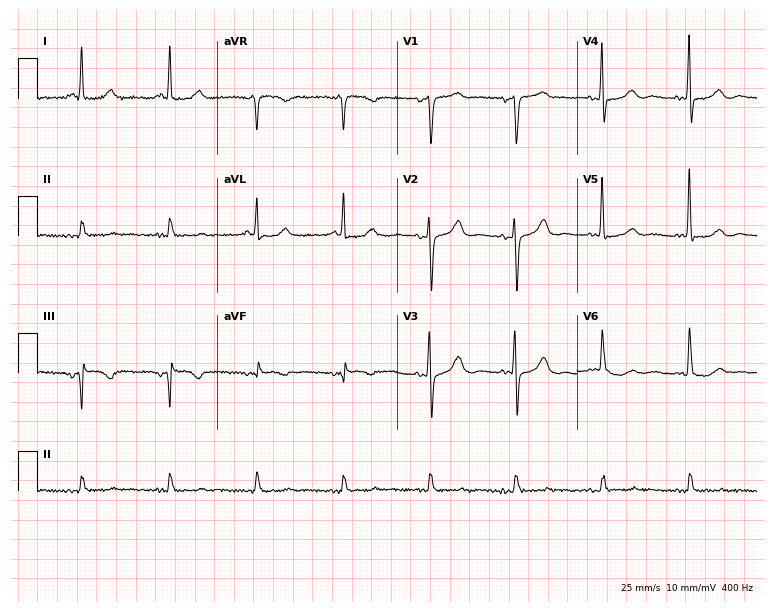
Electrocardiogram (7.3-second recording at 400 Hz), an 82-year-old woman. Of the six screened findings (first-degree AV block, right bundle branch block, left bundle branch block, sinus bradycardia, atrial fibrillation, sinus tachycardia), none is recorded. Findings outside these six are not listed.